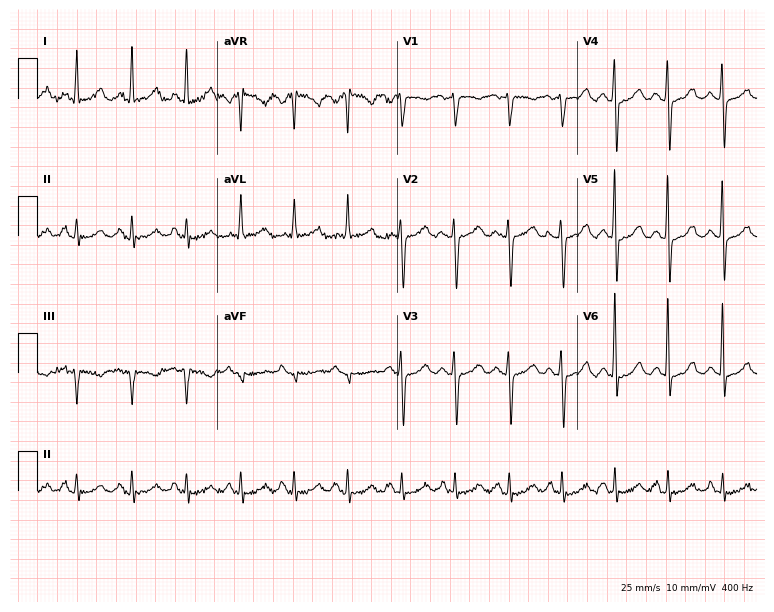
ECG — a woman, 68 years old. Findings include sinus tachycardia (a sinus rate of 100 beats per minute or more).